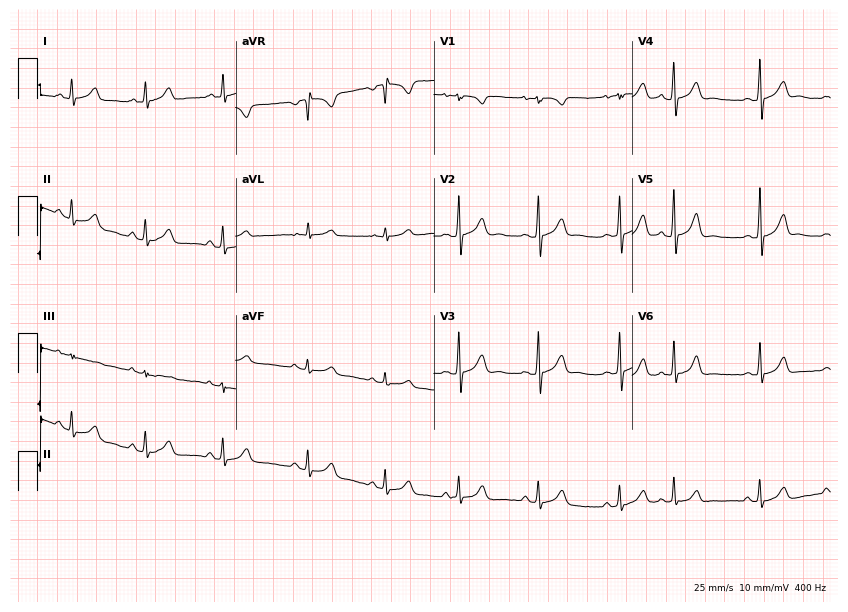
12-lead ECG from a 17-year-old female patient (8.1-second recording at 400 Hz). No first-degree AV block, right bundle branch block, left bundle branch block, sinus bradycardia, atrial fibrillation or sinus tachycardia recorded for this tracing.